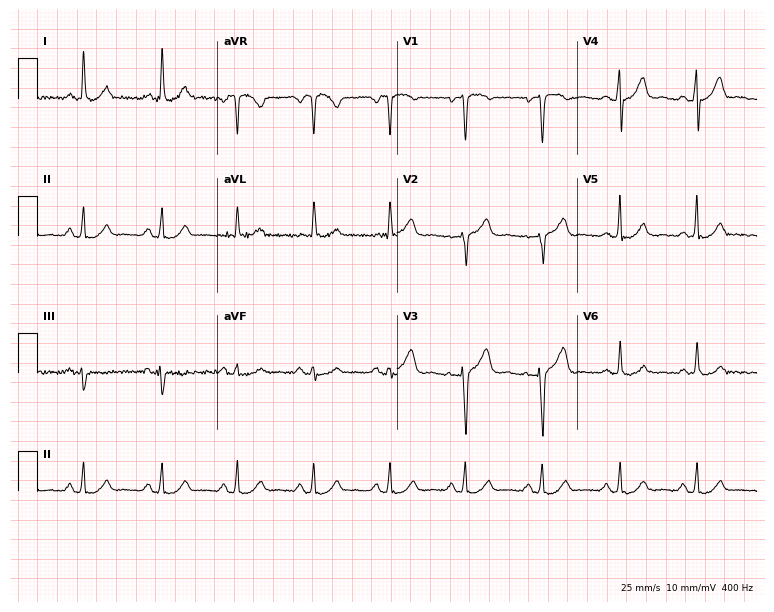
ECG — a female, 53 years old. Labelled as a normal ECG.